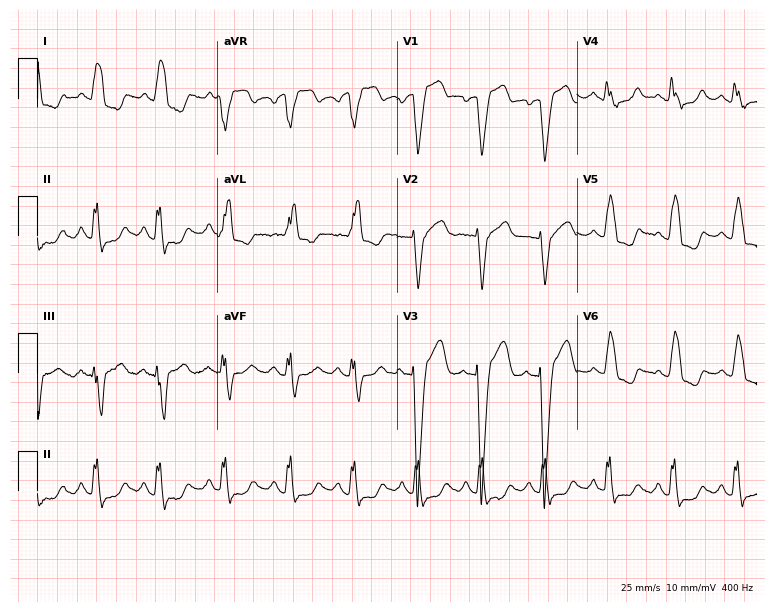
Resting 12-lead electrocardiogram. Patient: a 58-year-old woman. The tracing shows left bundle branch block.